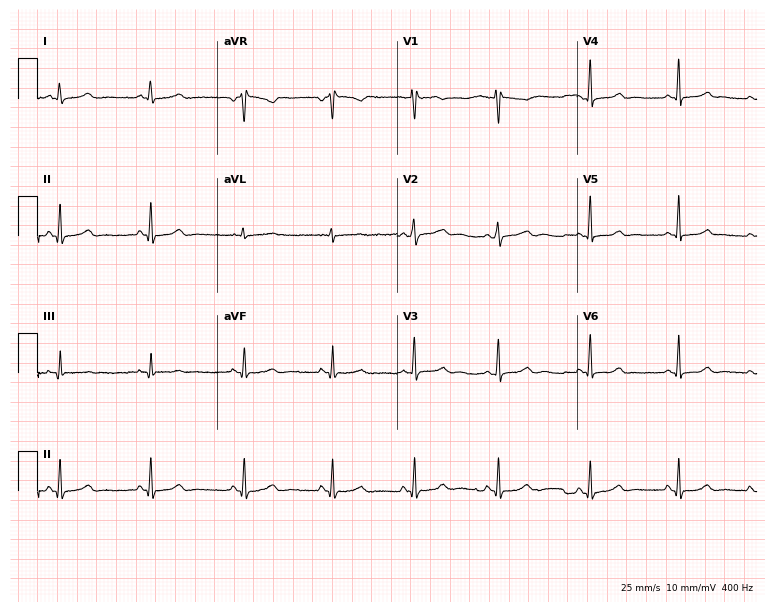
Electrocardiogram (7.3-second recording at 400 Hz), a 41-year-old woman. Overall reading on record: normal ECG.